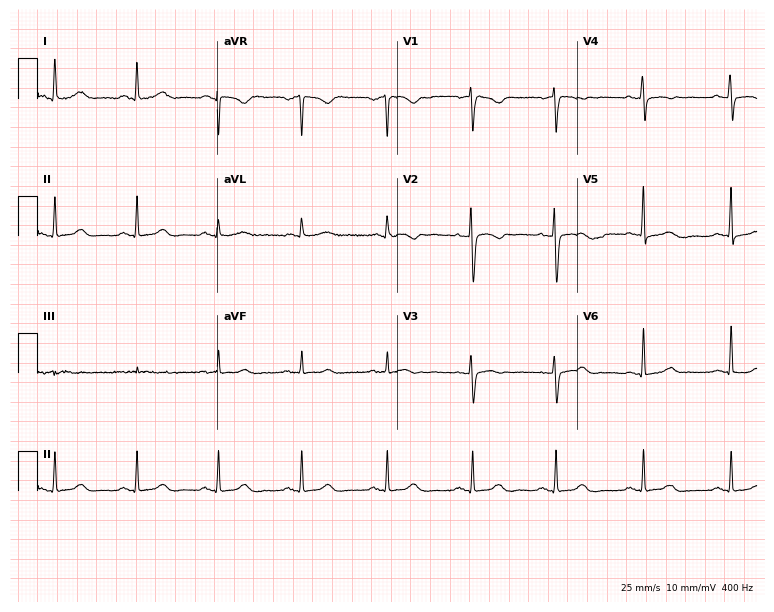
12-lead ECG from a female, 54 years old. Screened for six findings — first-degree AV block, right bundle branch block, left bundle branch block, sinus bradycardia, atrial fibrillation, sinus tachycardia — none is recorded. Findings outside these six are not listed.